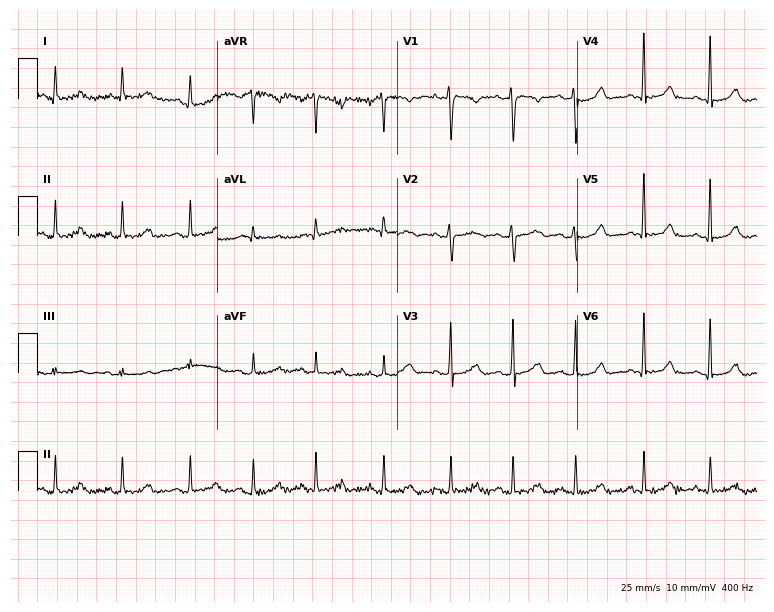
Electrocardiogram, a 26-year-old female patient. Of the six screened findings (first-degree AV block, right bundle branch block, left bundle branch block, sinus bradycardia, atrial fibrillation, sinus tachycardia), none is recorded.